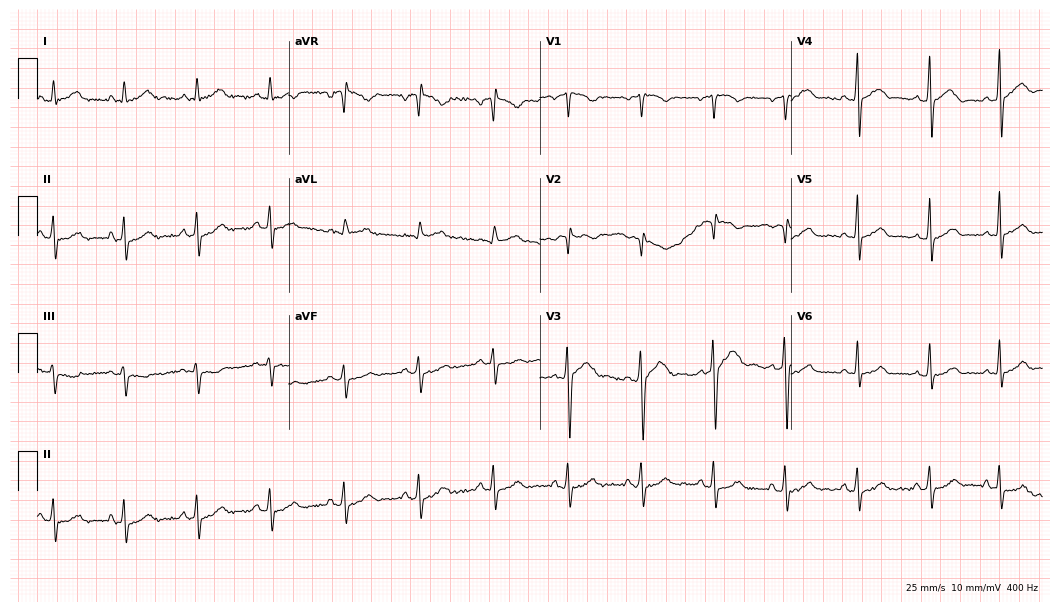
Standard 12-lead ECG recorded from a 47-year-old male (10.2-second recording at 400 Hz). None of these six findings is recorded: first-degree AV block, right bundle branch block (RBBB), left bundle branch block (LBBB), sinus bradycardia, atrial fibrillation (AF), sinus tachycardia.